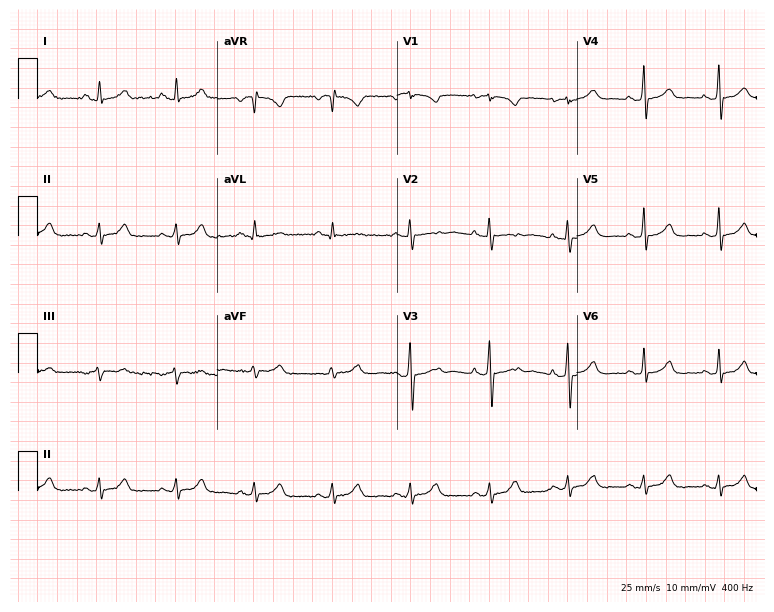
ECG — a female, 27 years old. Screened for six findings — first-degree AV block, right bundle branch block, left bundle branch block, sinus bradycardia, atrial fibrillation, sinus tachycardia — none is recorded.